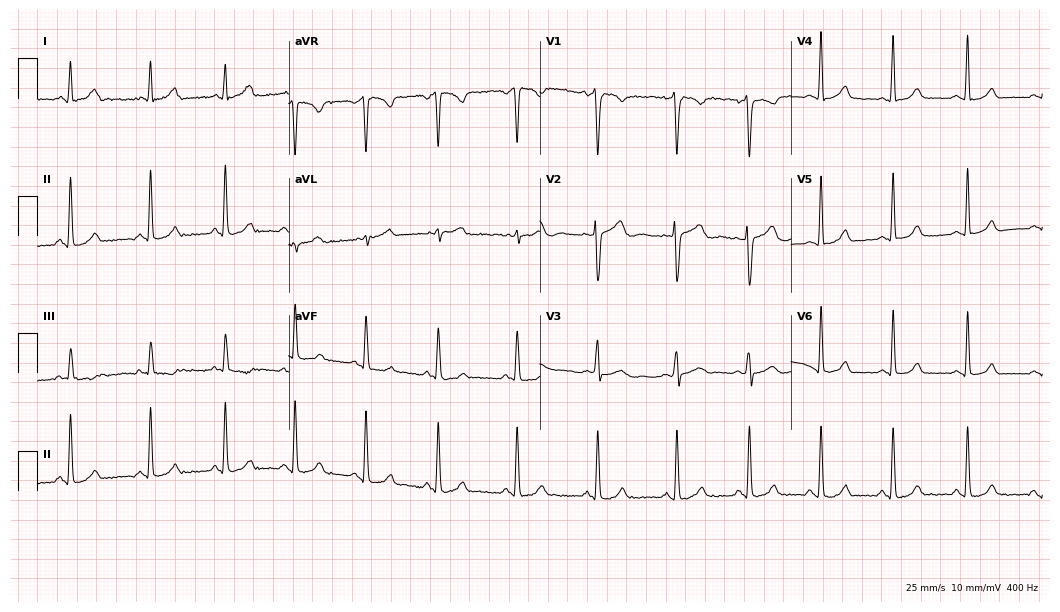
12-lead ECG from a 28-year-old female (10.2-second recording at 400 Hz). Recorded interpretation: within normal limits.